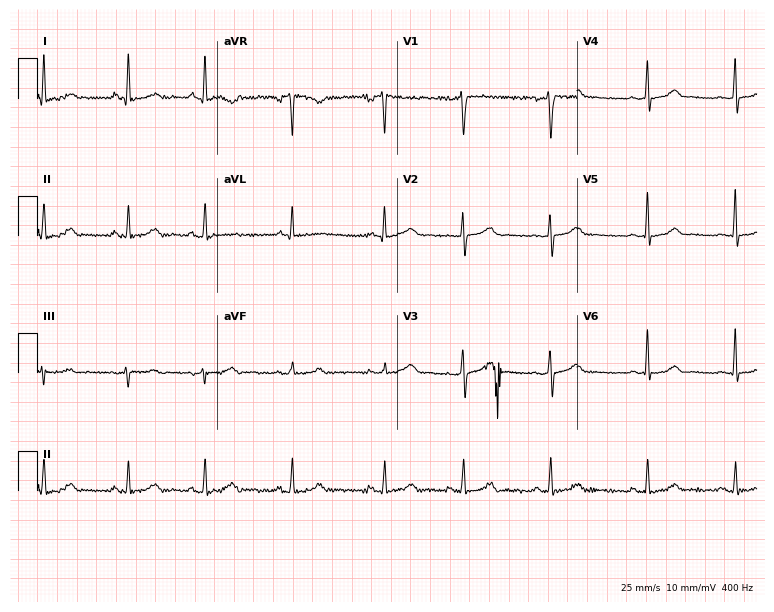
Resting 12-lead electrocardiogram (7.3-second recording at 400 Hz). Patient: a female, 30 years old. None of these six findings is recorded: first-degree AV block, right bundle branch block, left bundle branch block, sinus bradycardia, atrial fibrillation, sinus tachycardia.